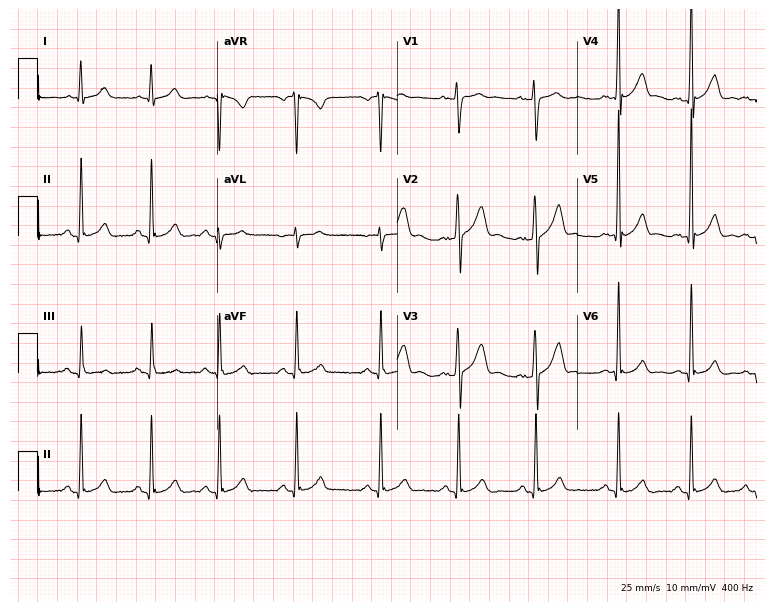
12-lead ECG from a male, 21 years old. Labelled as a normal ECG.